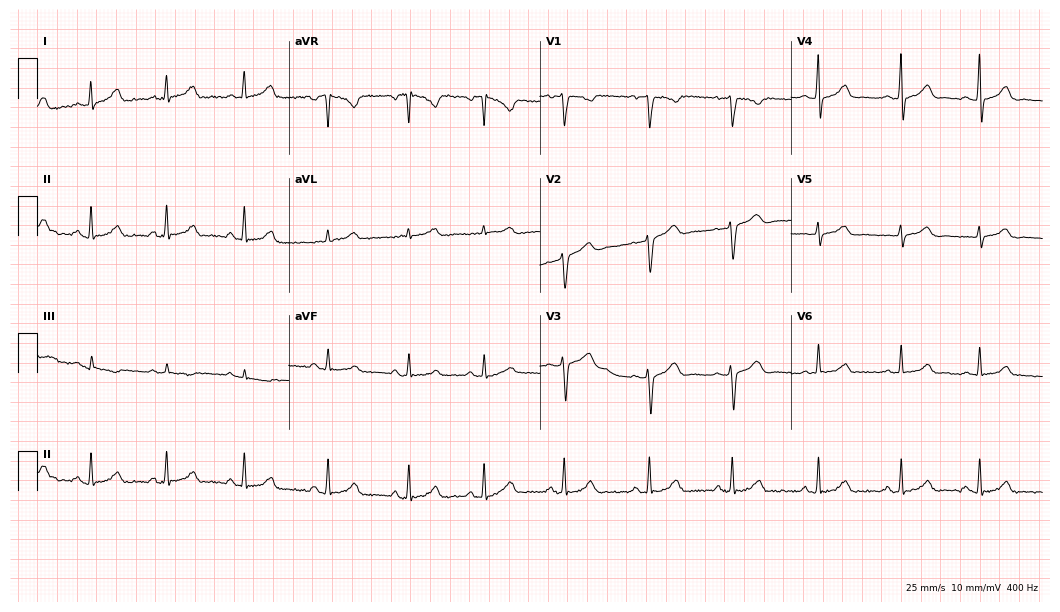
Electrocardiogram (10.2-second recording at 400 Hz), a female patient, 38 years old. Of the six screened findings (first-degree AV block, right bundle branch block, left bundle branch block, sinus bradycardia, atrial fibrillation, sinus tachycardia), none is recorded.